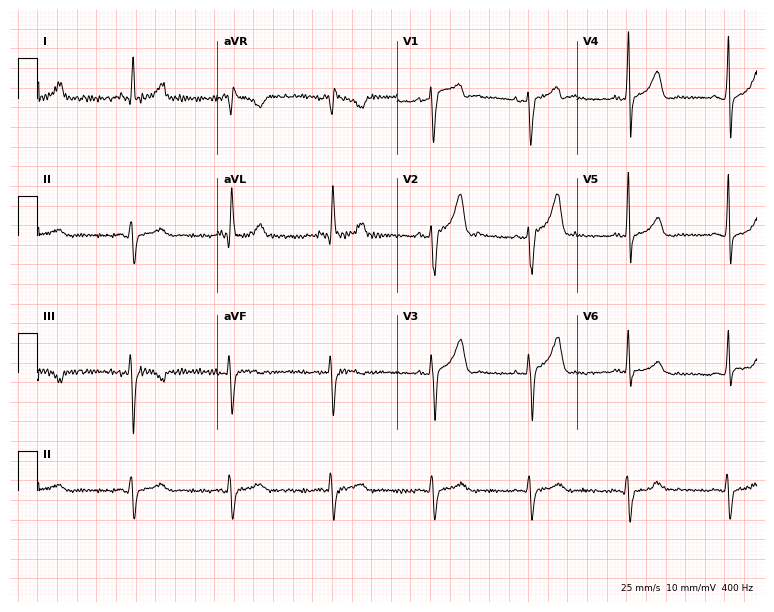
12-lead ECG from a man, 53 years old. Screened for six findings — first-degree AV block, right bundle branch block, left bundle branch block, sinus bradycardia, atrial fibrillation, sinus tachycardia — none is recorded.